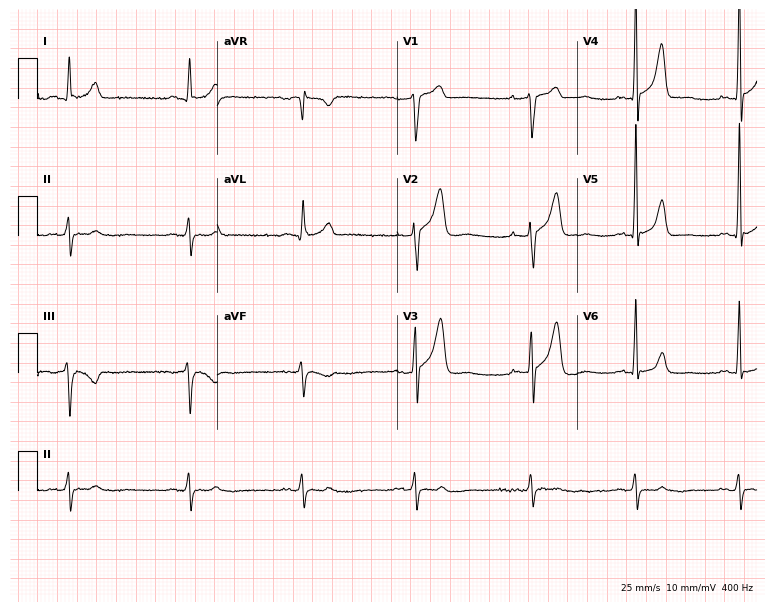
Standard 12-lead ECG recorded from a male, 43 years old (7.3-second recording at 400 Hz). None of these six findings is recorded: first-degree AV block, right bundle branch block, left bundle branch block, sinus bradycardia, atrial fibrillation, sinus tachycardia. Findings outside these six are not listed.